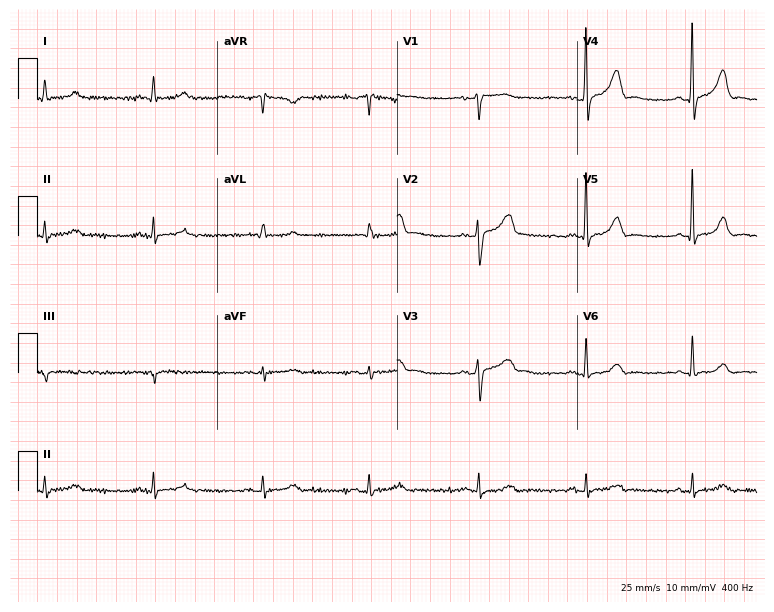
12-lead ECG from a 72-year-old male patient (7.3-second recording at 400 Hz). Recorded interpretation: within normal limits.